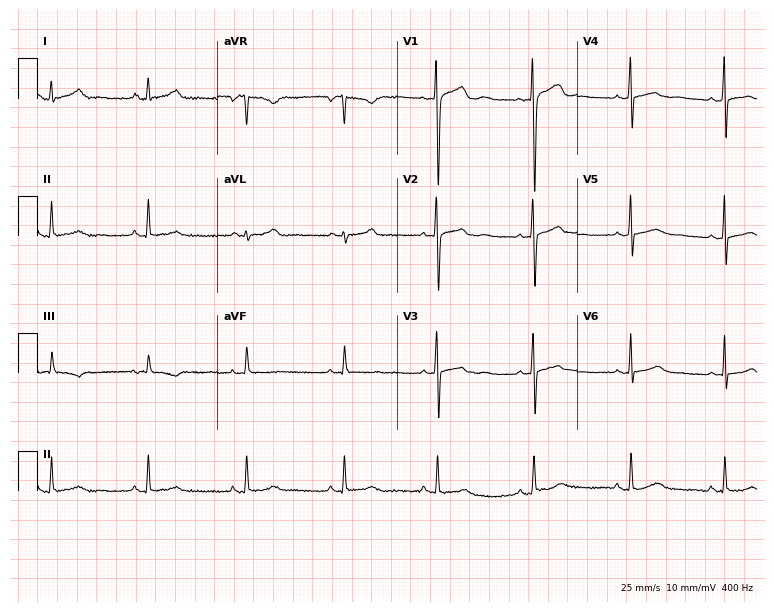
Standard 12-lead ECG recorded from a 25-year-old female patient (7.3-second recording at 400 Hz). Read as a normal ECG.